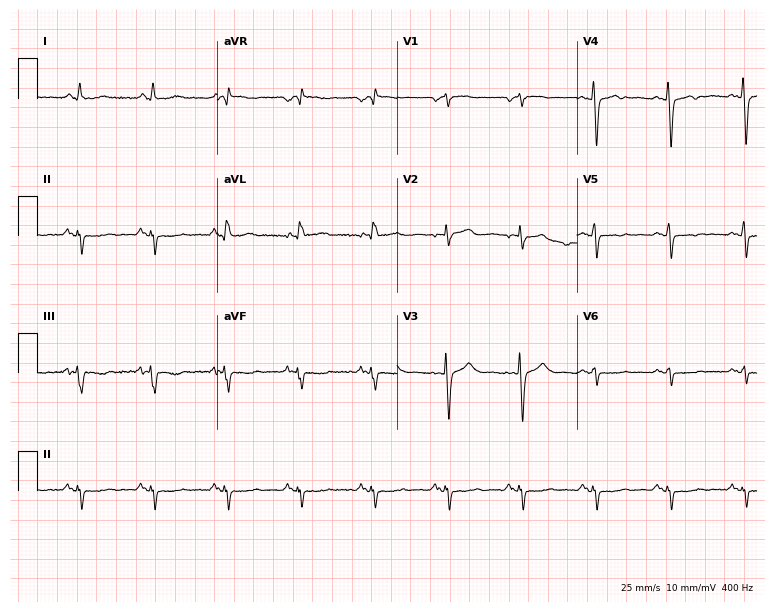
Electrocardiogram (7.3-second recording at 400 Hz), a 75-year-old female. Of the six screened findings (first-degree AV block, right bundle branch block (RBBB), left bundle branch block (LBBB), sinus bradycardia, atrial fibrillation (AF), sinus tachycardia), none is recorded. Findings outside these six are not listed.